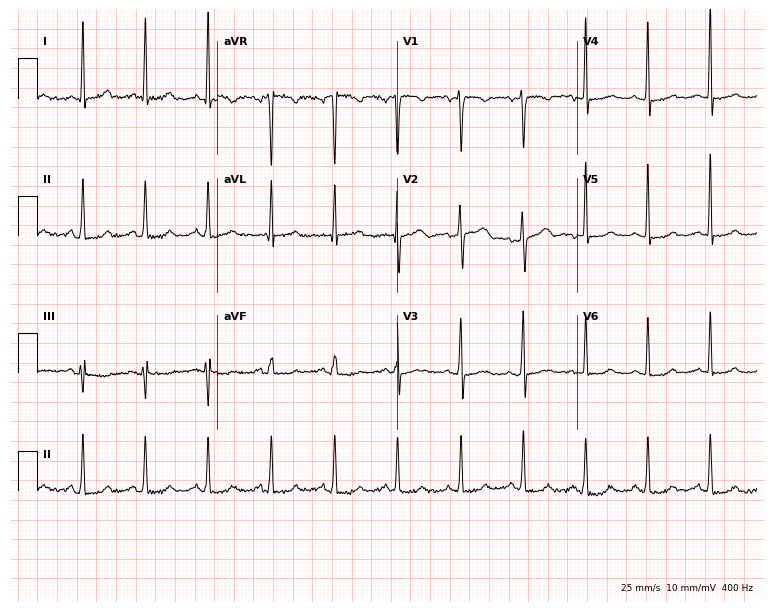
Resting 12-lead electrocardiogram (7.3-second recording at 400 Hz). Patient: a 31-year-old woman. None of these six findings is recorded: first-degree AV block, right bundle branch block, left bundle branch block, sinus bradycardia, atrial fibrillation, sinus tachycardia.